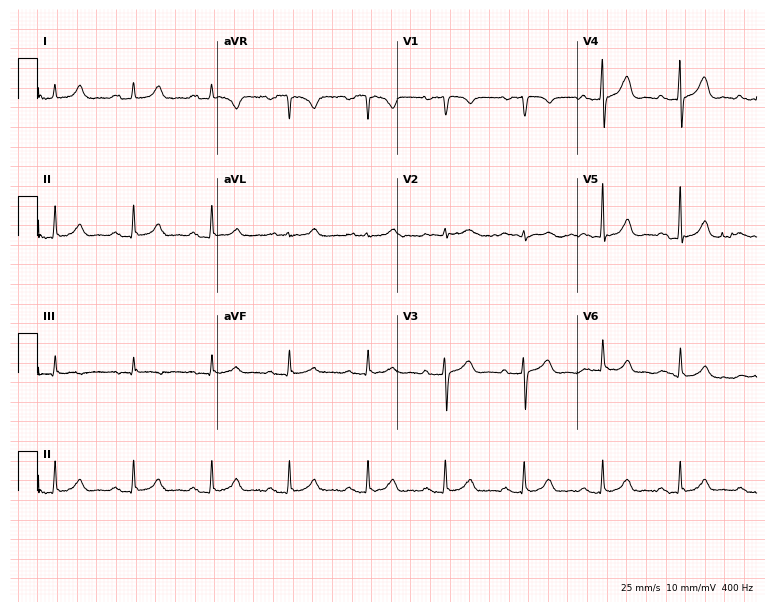
12-lead ECG from an 81-year-old woman (7.3-second recording at 400 Hz). Recorded interpretation: within normal limits.